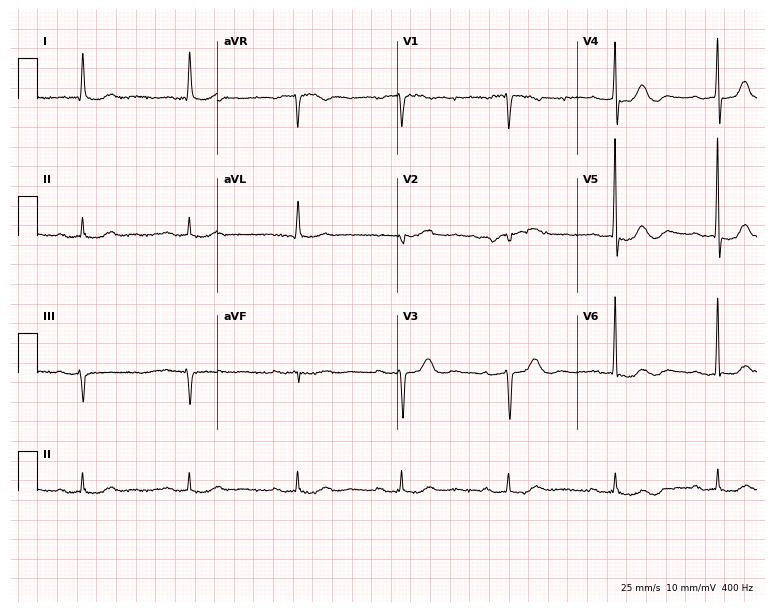
Electrocardiogram, a woman, 83 years old. Of the six screened findings (first-degree AV block, right bundle branch block (RBBB), left bundle branch block (LBBB), sinus bradycardia, atrial fibrillation (AF), sinus tachycardia), none is recorded. Other findings, if any, are not listed.